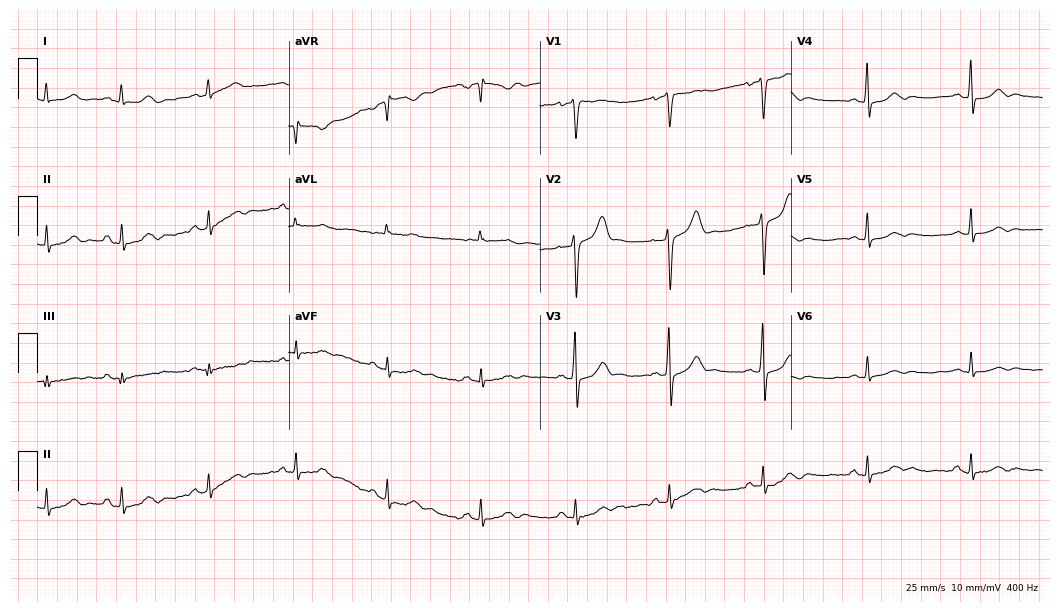
Resting 12-lead electrocardiogram (10.2-second recording at 400 Hz). Patient: a 28-year-old woman. Read as a normal ECG.